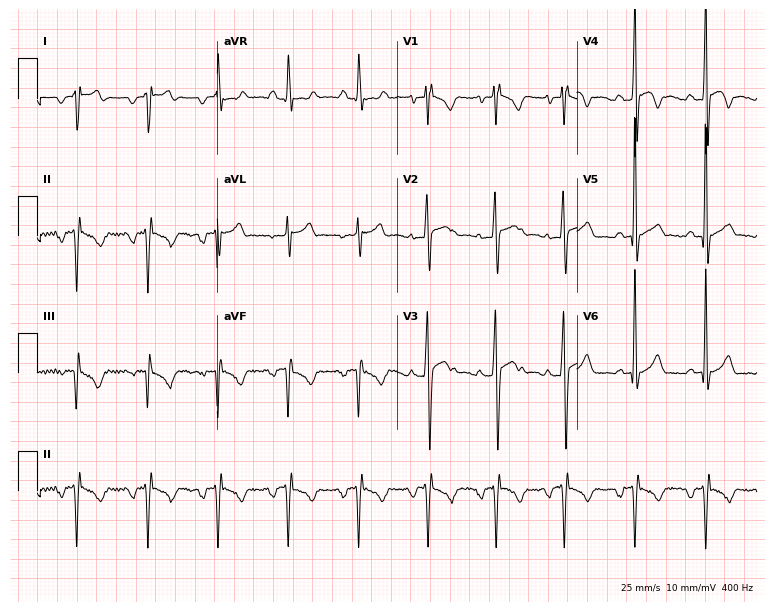
12-lead ECG from a man, 17 years old. Screened for six findings — first-degree AV block, right bundle branch block, left bundle branch block, sinus bradycardia, atrial fibrillation, sinus tachycardia — none is recorded. Other findings, if any, are not listed.